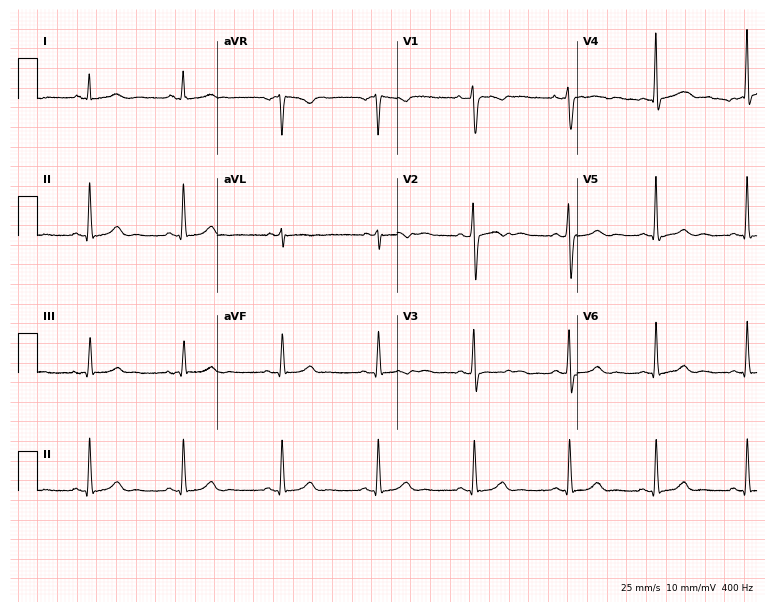
Standard 12-lead ECG recorded from a 33-year-old female (7.3-second recording at 400 Hz). Read as a normal ECG.